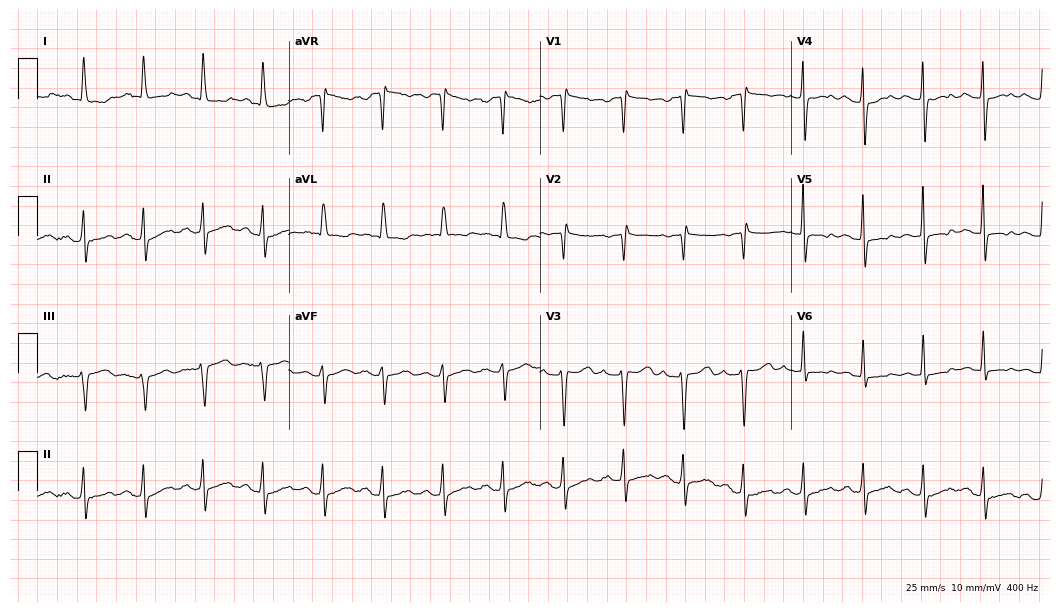
Standard 12-lead ECG recorded from a 60-year-old female patient (10.2-second recording at 400 Hz). None of these six findings is recorded: first-degree AV block, right bundle branch block (RBBB), left bundle branch block (LBBB), sinus bradycardia, atrial fibrillation (AF), sinus tachycardia.